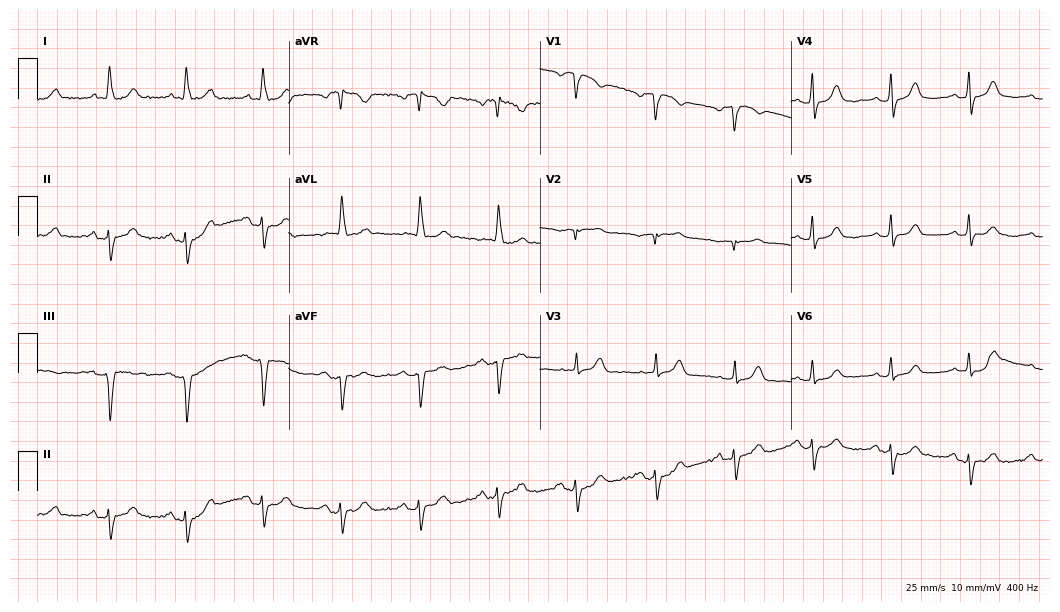
12-lead ECG from a female patient, 83 years old (10.2-second recording at 400 Hz). No first-degree AV block, right bundle branch block, left bundle branch block, sinus bradycardia, atrial fibrillation or sinus tachycardia recorded for this tracing. Findings outside these six are not listed.